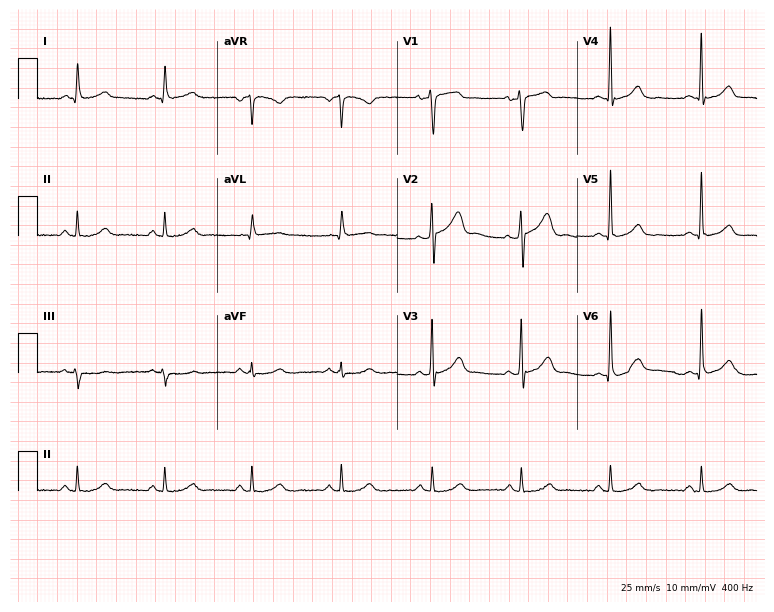
ECG (7.3-second recording at 400 Hz) — a male, 62 years old. Labelled as a normal ECG.